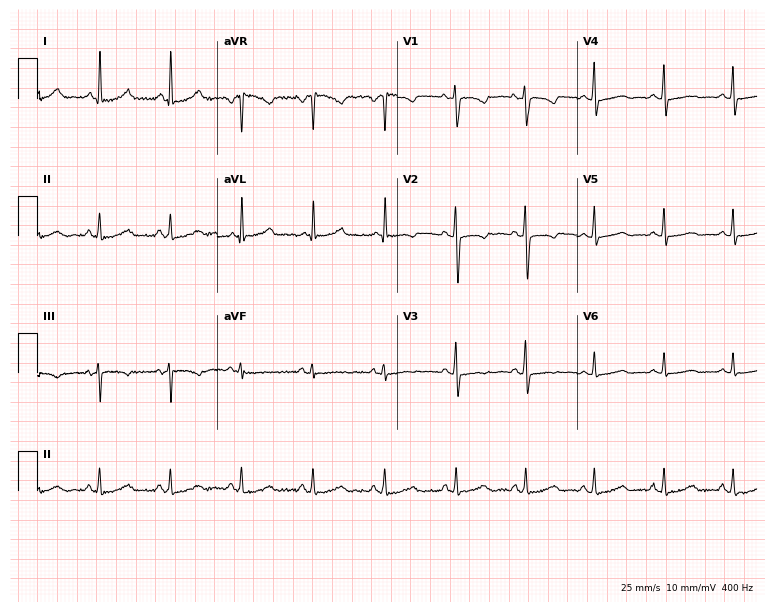
ECG (7.3-second recording at 400 Hz) — a woman, 45 years old. Labelled as a normal ECG.